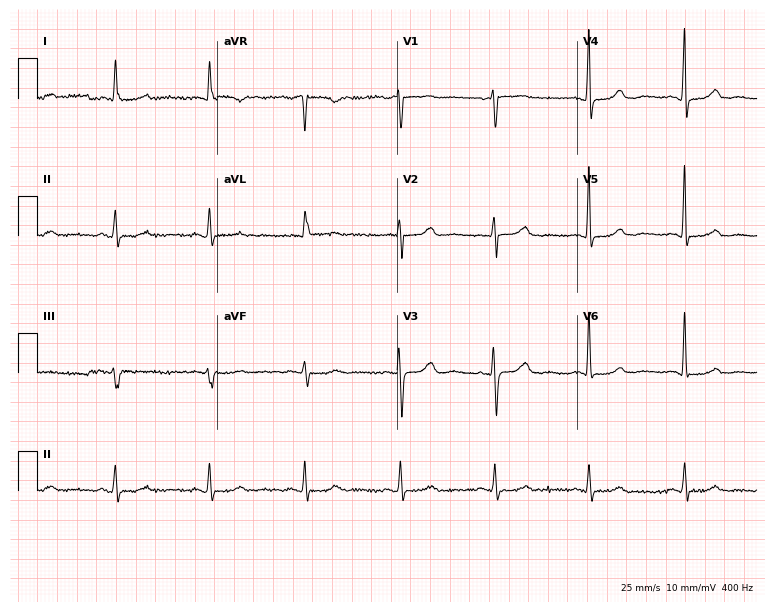
ECG — a 72-year-old woman. Screened for six findings — first-degree AV block, right bundle branch block, left bundle branch block, sinus bradycardia, atrial fibrillation, sinus tachycardia — none is recorded.